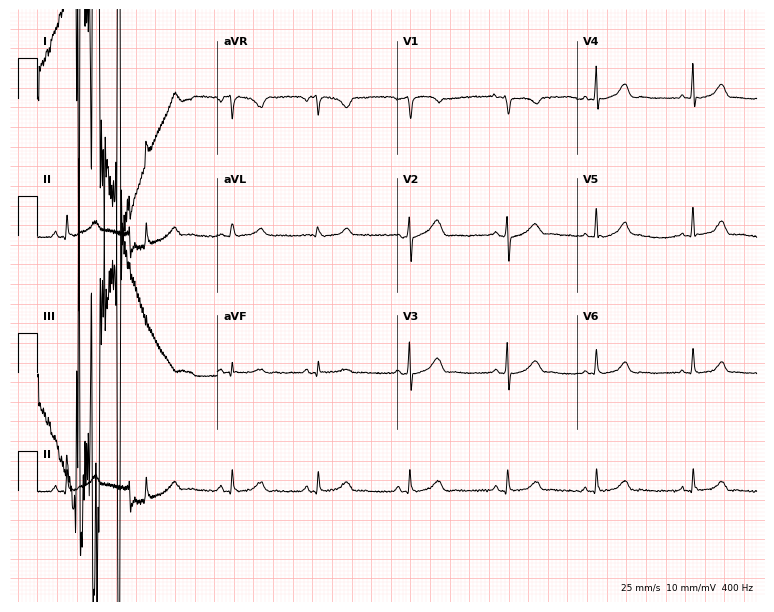
12-lead ECG from a 21-year-old woman (7.3-second recording at 400 Hz). No first-degree AV block, right bundle branch block (RBBB), left bundle branch block (LBBB), sinus bradycardia, atrial fibrillation (AF) or sinus tachycardia recorded for this tracing. Findings outside these six are not listed.